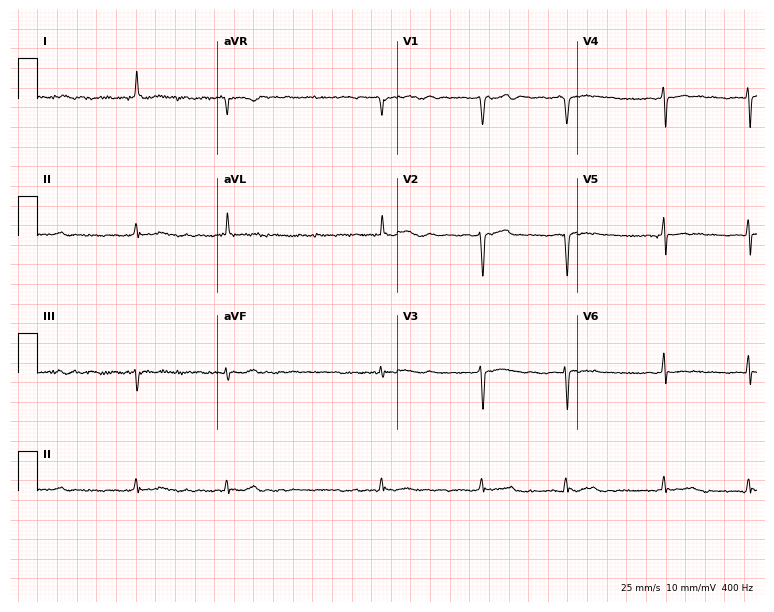
12-lead ECG from a 71-year-old female. Shows atrial fibrillation.